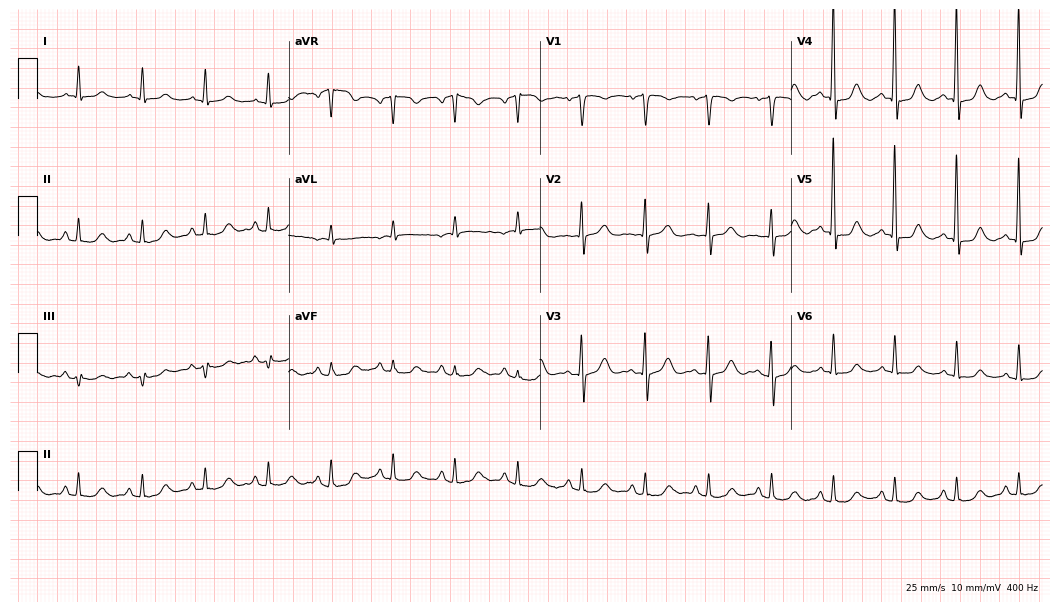
Resting 12-lead electrocardiogram (10.2-second recording at 400 Hz). Patient: a 66-year-old male. Read as a normal ECG.